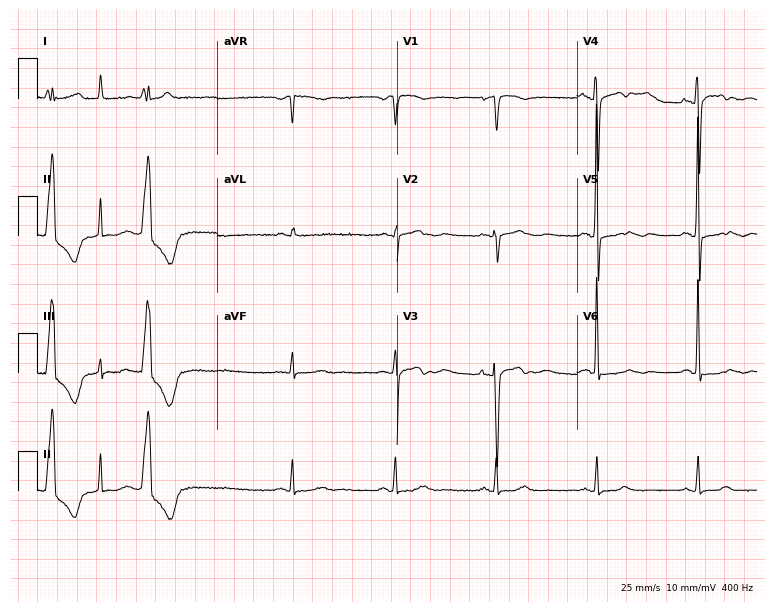
Standard 12-lead ECG recorded from a female patient, 80 years old. Read as a normal ECG.